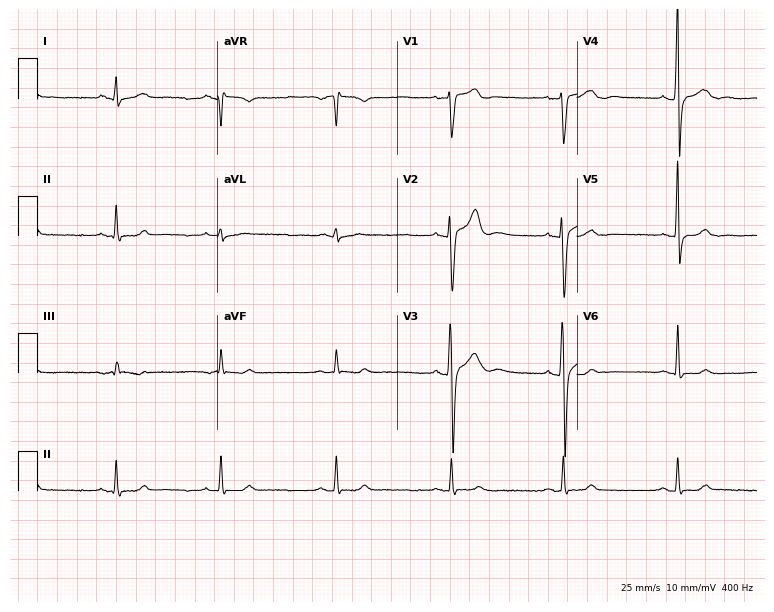
Standard 12-lead ECG recorded from a man, 32 years old (7.3-second recording at 400 Hz). None of these six findings is recorded: first-degree AV block, right bundle branch block, left bundle branch block, sinus bradycardia, atrial fibrillation, sinus tachycardia. Findings outside these six are not listed.